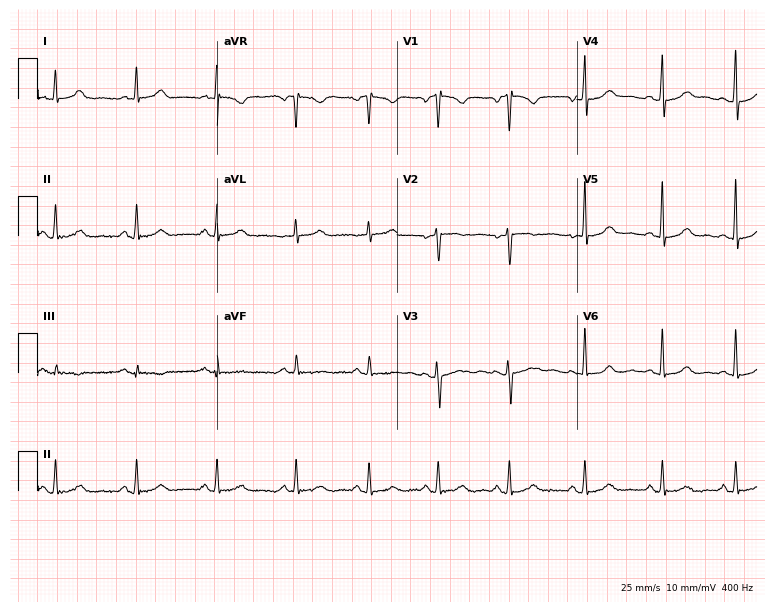
Resting 12-lead electrocardiogram. Patient: a female, 35 years old. None of these six findings is recorded: first-degree AV block, right bundle branch block, left bundle branch block, sinus bradycardia, atrial fibrillation, sinus tachycardia.